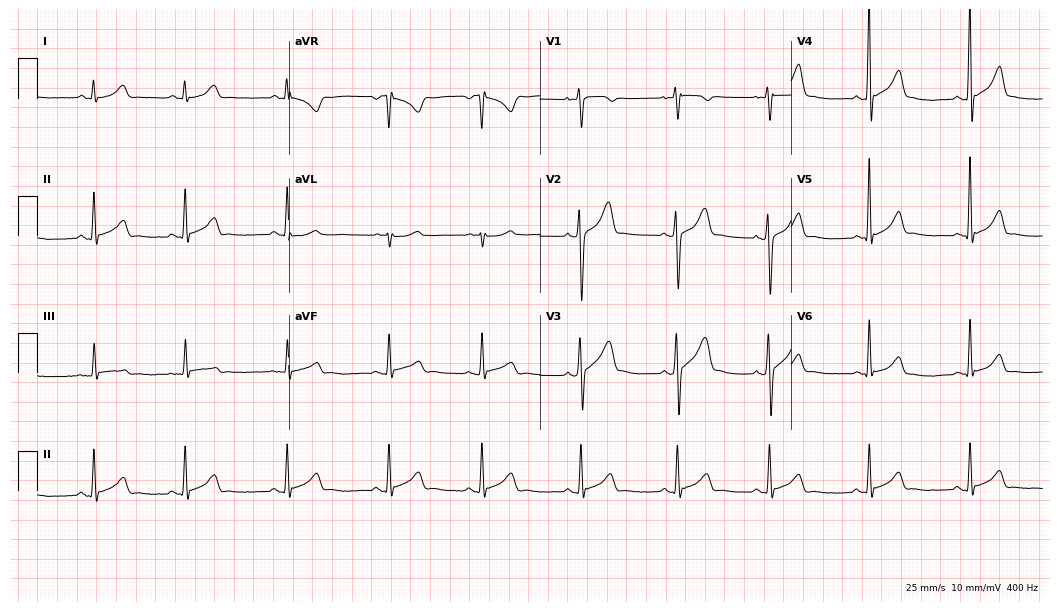
12-lead ECG (10.2-second recording at 400 Hz) from a 17-year-old male patient. Labelled as a normal ECG.